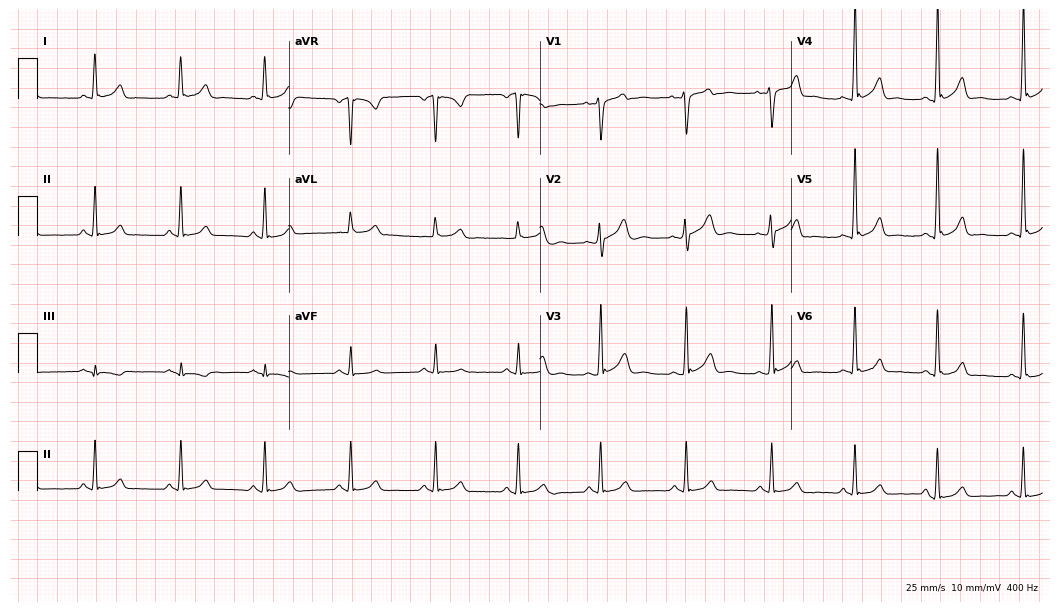
Resting 12-lead electrocardiogram. Patient: a 53-year-old male. Read as a normal ECG.